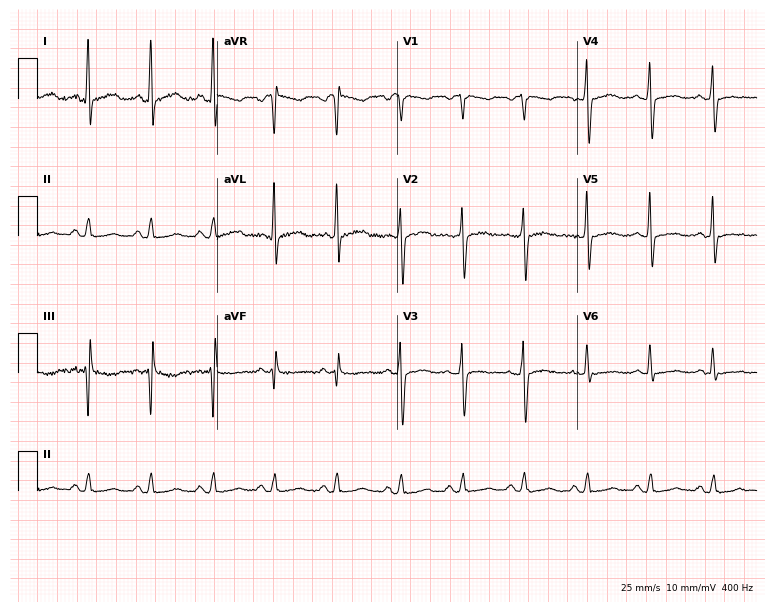
Standard 12-lead ECG recorded from a 39-year-old female. None of these six findings is recorded: first-degree AV block, right bundle branch block, left bundle branch block, sinus bradycardia, atrial fibrillation, sinus tachycardia.